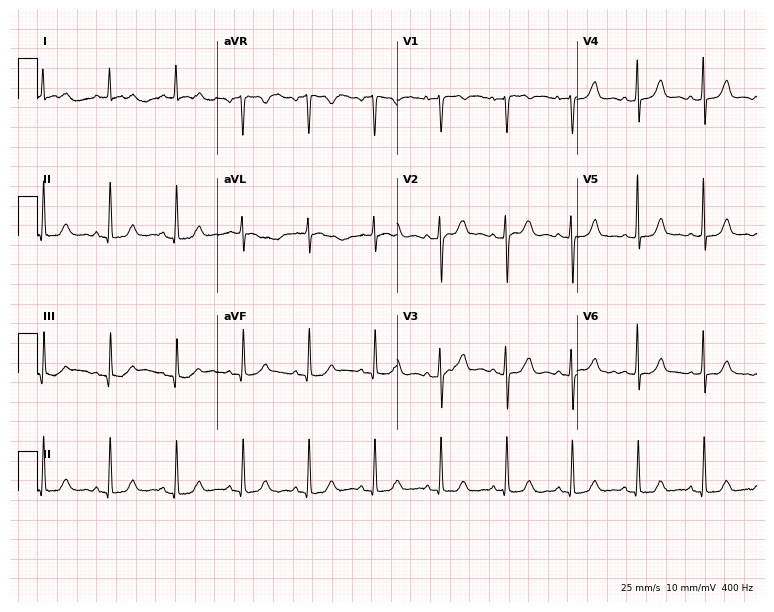
Standard 12-lead ECG recorded from a 64-year-old woman (7.3-second recording at 400 Hz). None of these six findings is recorded: first-degree AV block, right bundle branch block (RBBB), left bundle branch block (LBBB), sinus bradycardia, atrial fibrillation (AF), sinus tachycardia. Findings outside these six are not listed.